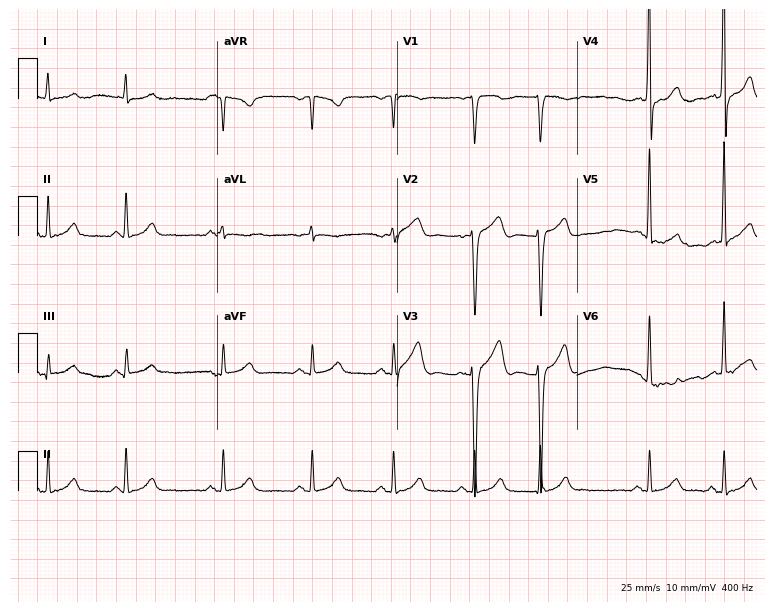
Resting 12-lead electrocardiogram (7.3-second recording at 400 Hz). Patient: a 55-year-old man. Read as a normal ECG.